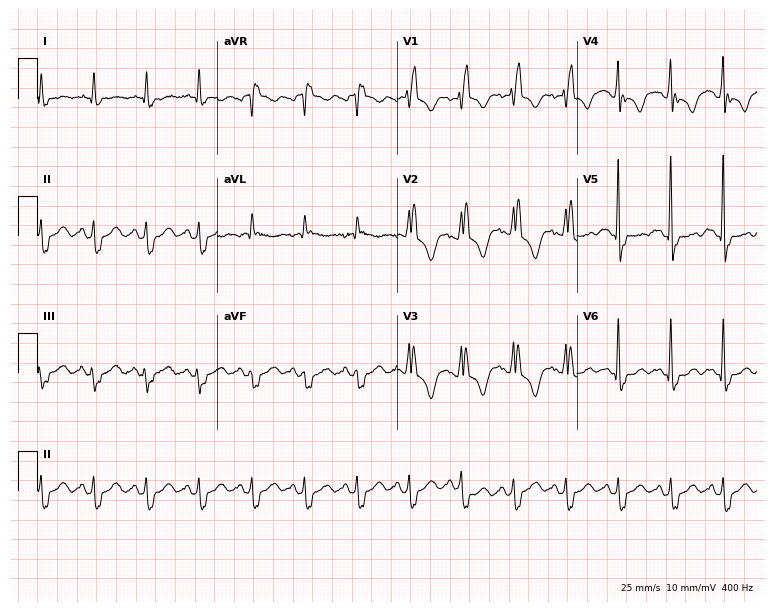
Standard 12-lead ECG recorded from a 56-year-old female (7.3-second recording at 400 Hz). The tracing shows right bundle branch block, sinus tachycardia (a sinus rate of 100 beats per minute or more).